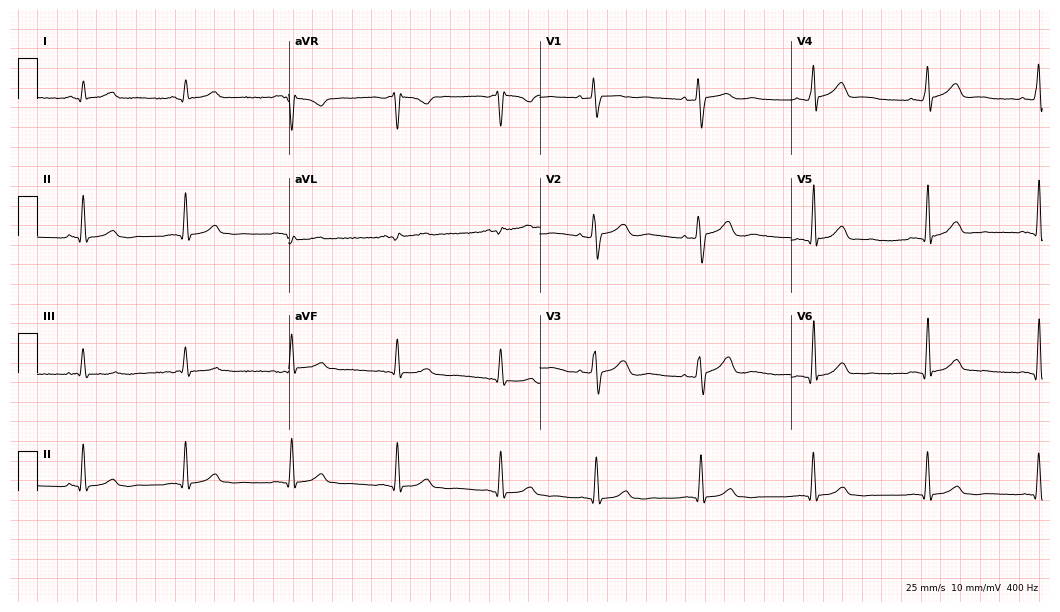
ECG (10.2-second recording at 400 Hz) — a male, 60 years old. Screened for six findings — first-degree AV block, right bundle branch block (RBBB), left bundle branch block (LBBB), sinus bradycardia, atrial fibrillation (AF), sinus tachycardia — none is recorded. Only these six findings were labelled.